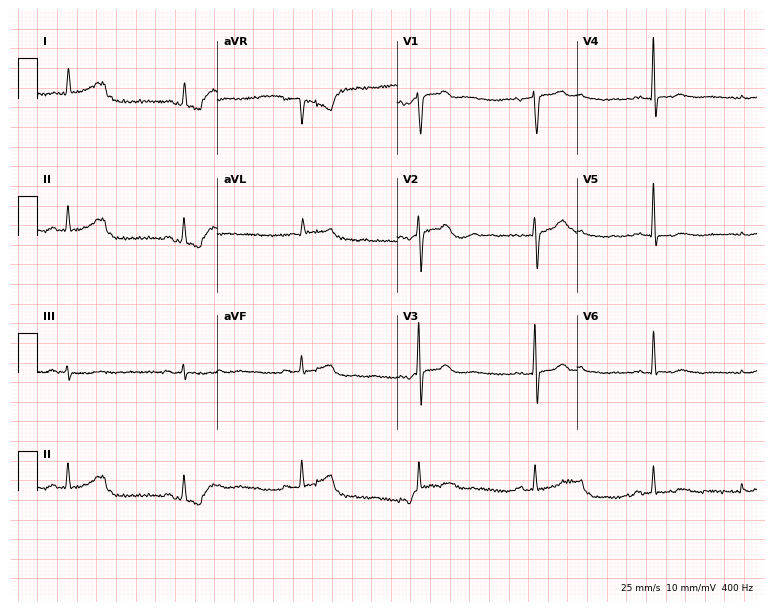
12-lead ECG from a man, 81 years old (7.3-second recording at 400 Hz). No first-degree AV block, right bundle branch block, left bundle branch block, sinus bradycardia, atrial fibrillation or sinus tachycardia recorded for this tracing.